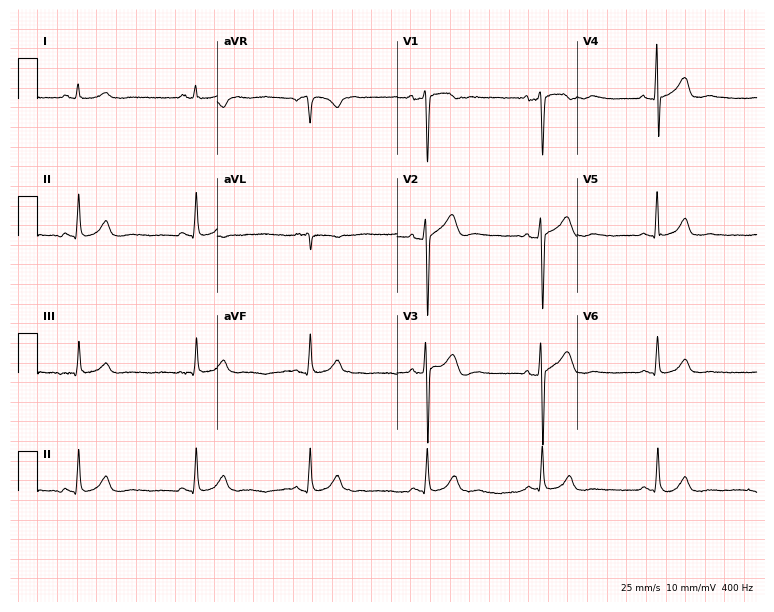
Resting 12-lead electrocardiogram. Patient: a male, 56 years old. Read as a normal ECG.